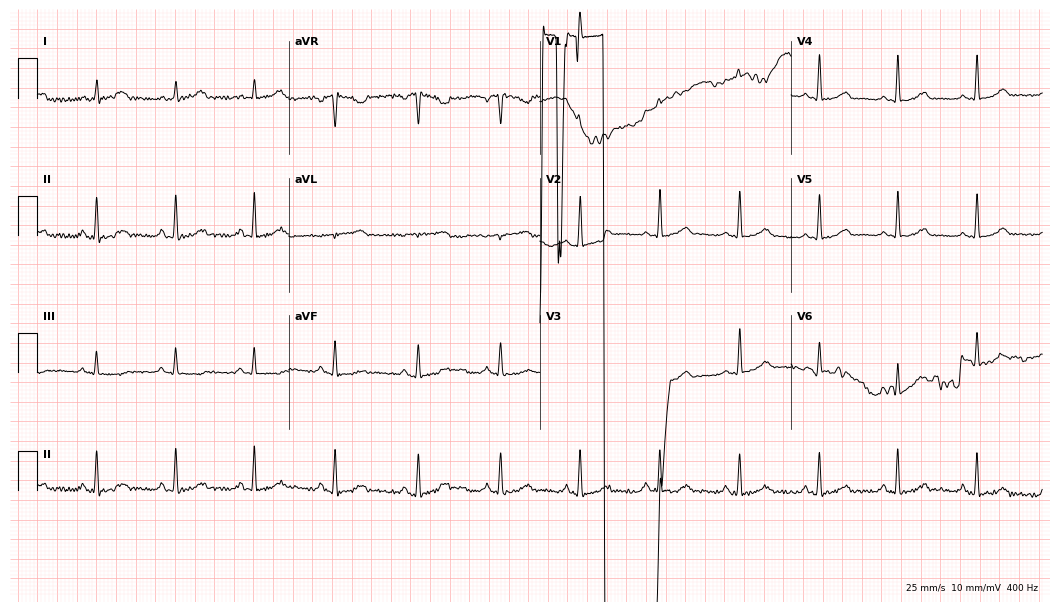
12-lead ECG (10.2-second recording at 400 Hz) from a woman, 27 years old. Labelled as a normal ECG.